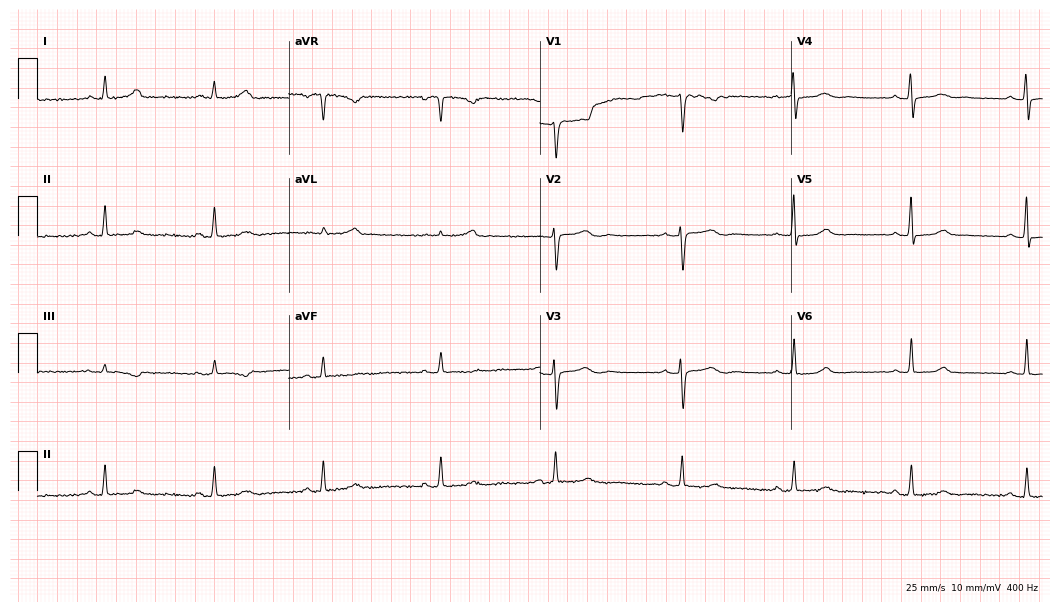
Resting 12-lead electrocardiogram. Patient: a female, 47 years old. Read as a normal ECG.